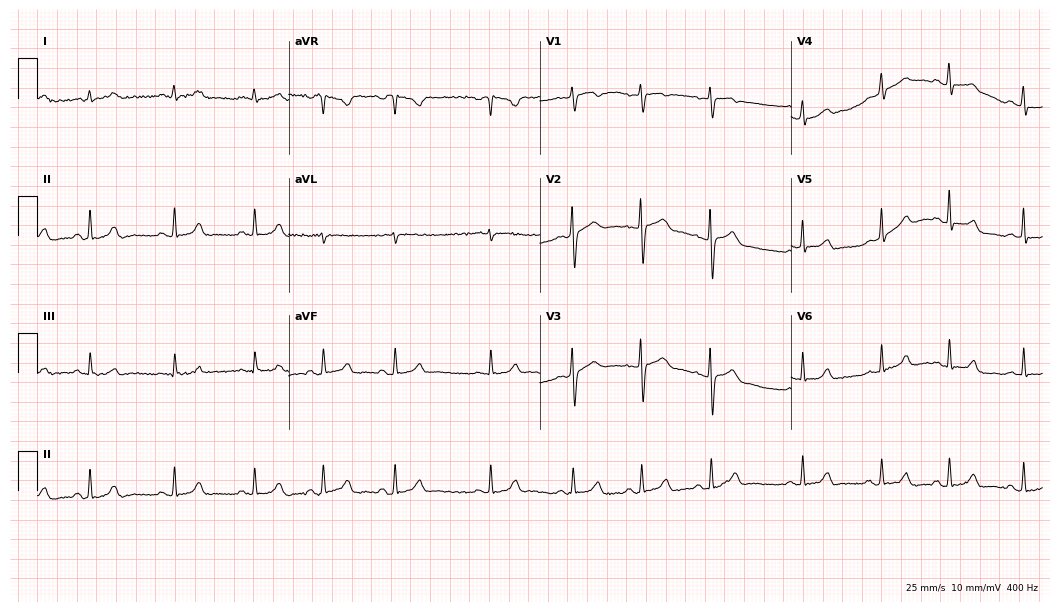
12-lead ECG (10.2-second recording at 400 Hz) from a female, 20 years old. Labelled as a normal ECG.